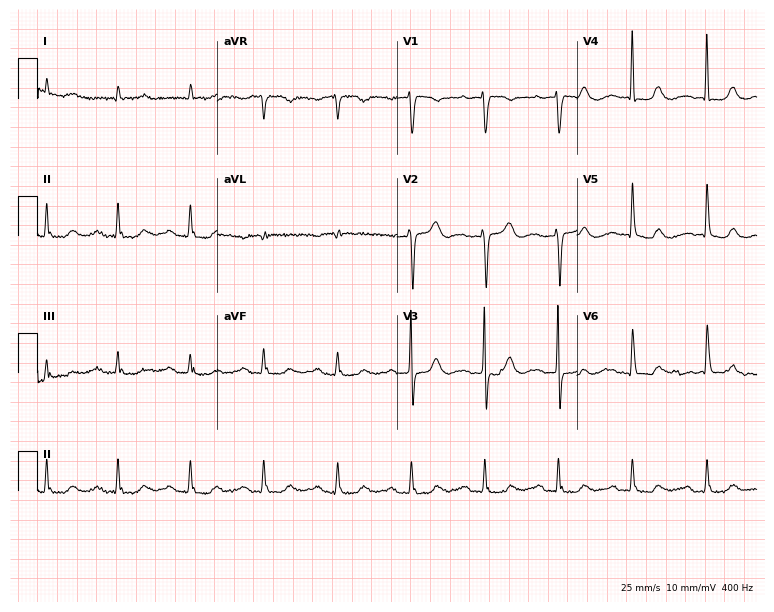
Electrocardiogram (7.3-second recording at 400 Hz), a female patient, 76 years old. Of the six screened findings (first-degree AV block, right bundle branch block, left bundle branch block, sinus bradycardia, atrial fibrillation, sinus tachycardia), none is recorded.